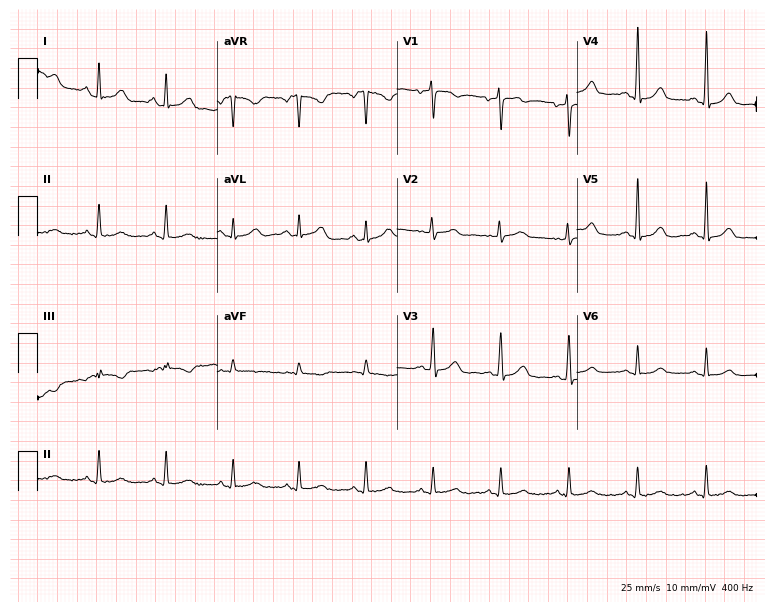
Electrocardiogram (7.3-second recording at 400 Hz), a woman, 69 years old. Of the six screened findings (first-degree AV block, right bundle branch block, left bundle branch block, sinus bradycardia, atrial fibrillation, sinus tachycardia), none is recorded.